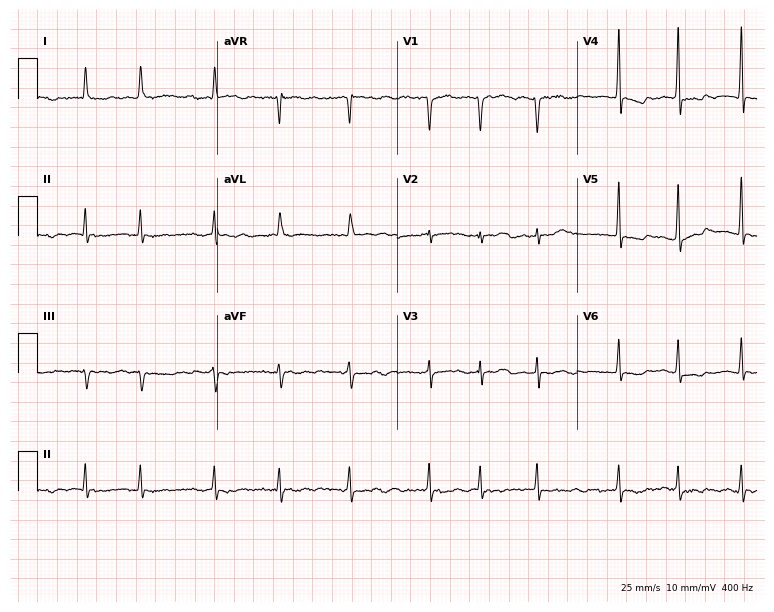
Resting 12-lead electrocardiogram. Patient: a woman, 68 years old. The tracing shows atrial fibrillation.